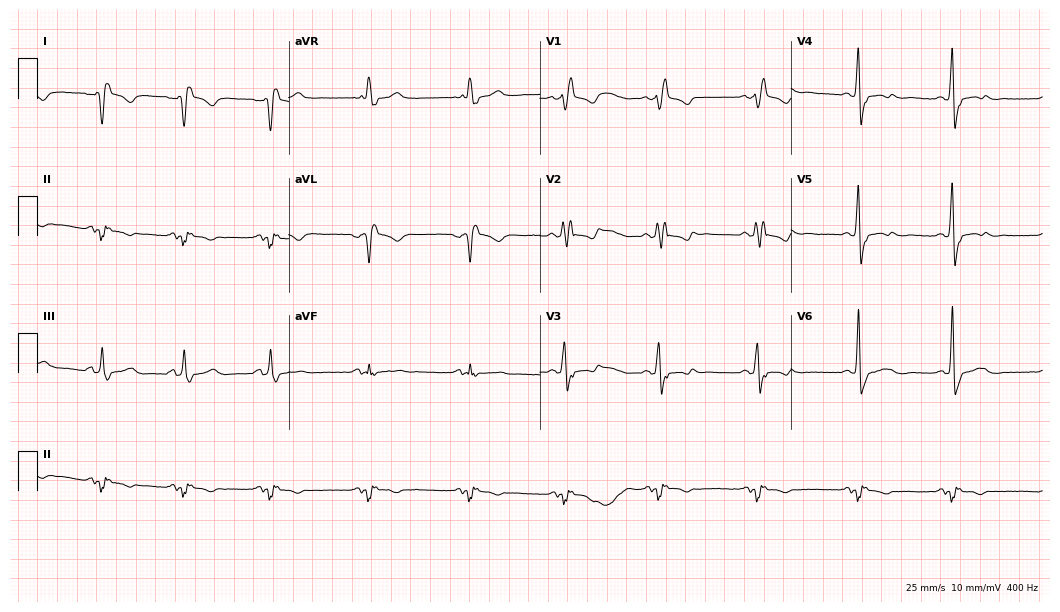
Standard 12-lead ECG recorded from a 54-year-old woman. None of these six findings is recorded: first-degree AV block, right bundle branch block (RBBB), left bundle branch block (LBBB), sinus bradycardia, atrial fibrillation (AF), sinus tachycardia.